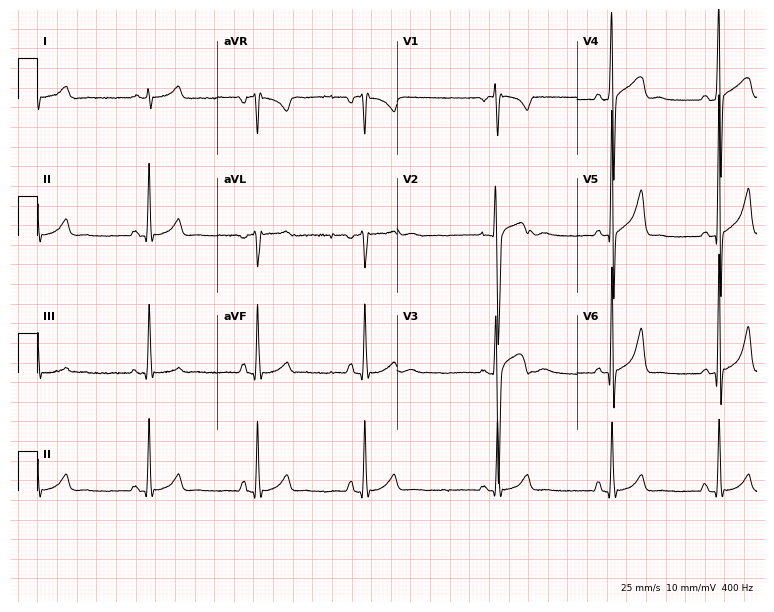
Electrocardiogram (7.3-second recording at 400 Hz), a man, 17 years old. Overall reading on record: normal ECG.